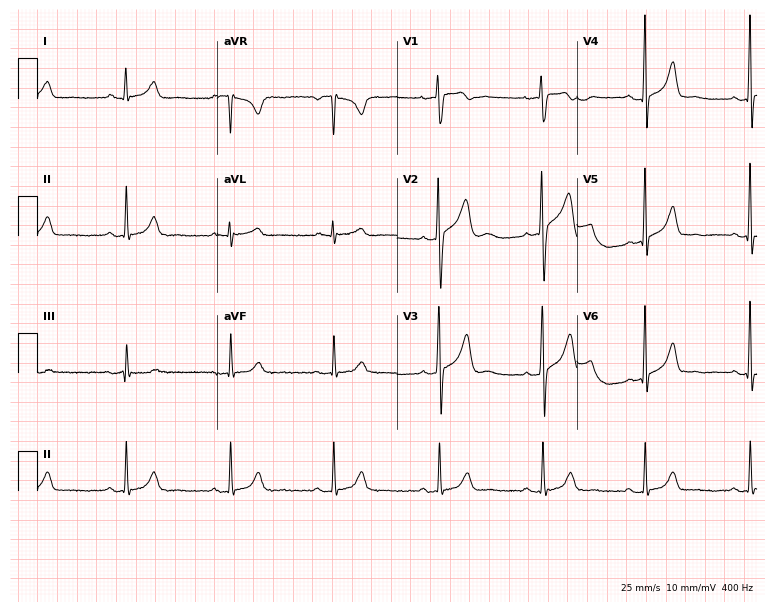
12-lead ECG from a man, 34 years old. Recorded interpretation: within normal limits.